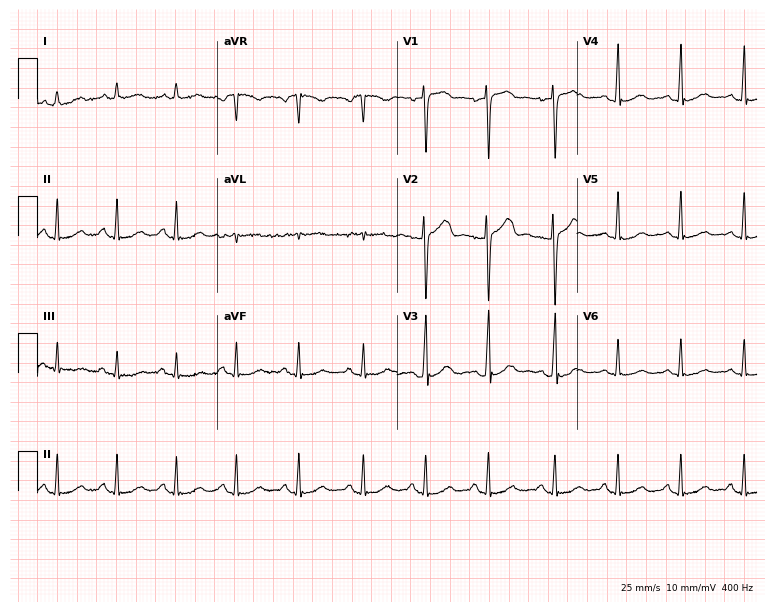
ECG (7.3-second recording at 400 Hz) — a female, 51 years old. Screened for six findings — first-degree AV block, right bundle branch block (RBBB), left bundle branch block (LBBB), sinus bradycardia, atrial fibrillation (AF), sinus tachycardia — none is recorded.